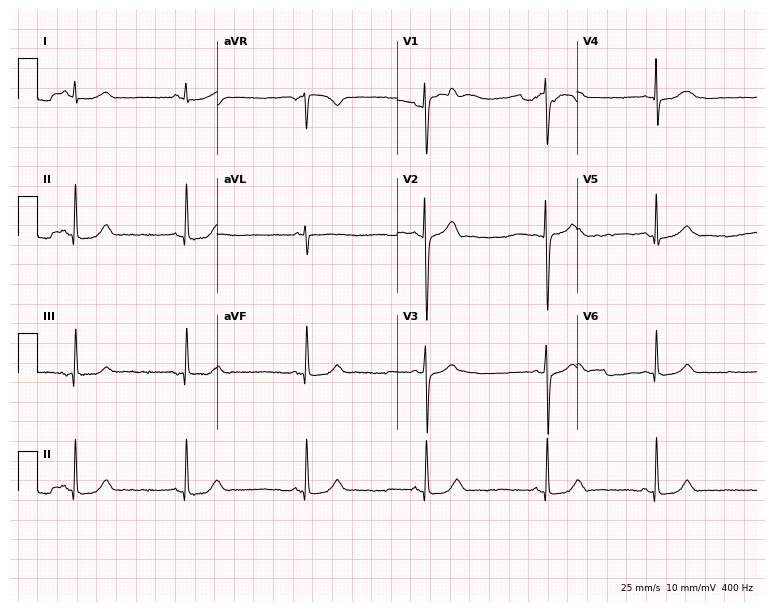
12-lead ECG from a female, 25 years old (7.3-second recording at 400 Hz). Recorded interpretation: within normal limits.